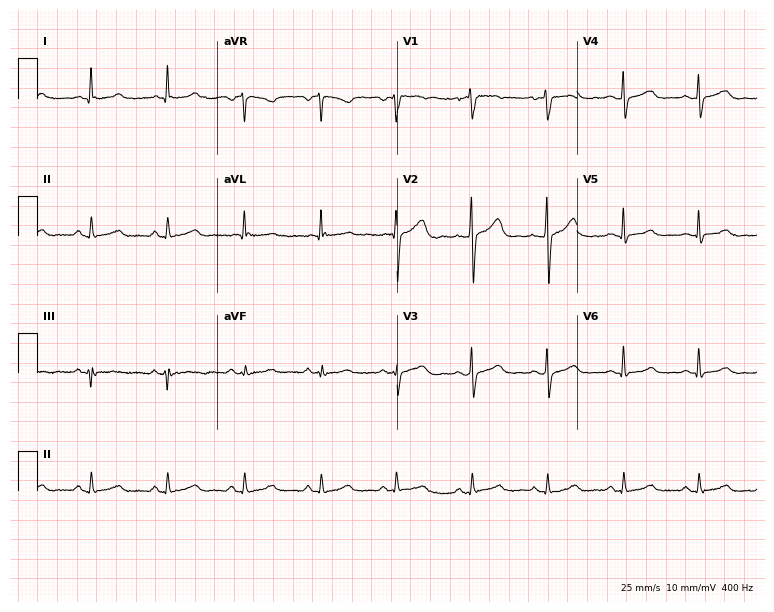
Electrocardiogram (7.3-second recording at 400 Hz), a female patient, 49 years old. Of the six screened findings (first-degree AV block, right bundle branch block, left bundle branch block, sinus bradycardia, atrial fibrillation, sinus tachycardia), none is recorded. Findings outside these six are not listed.